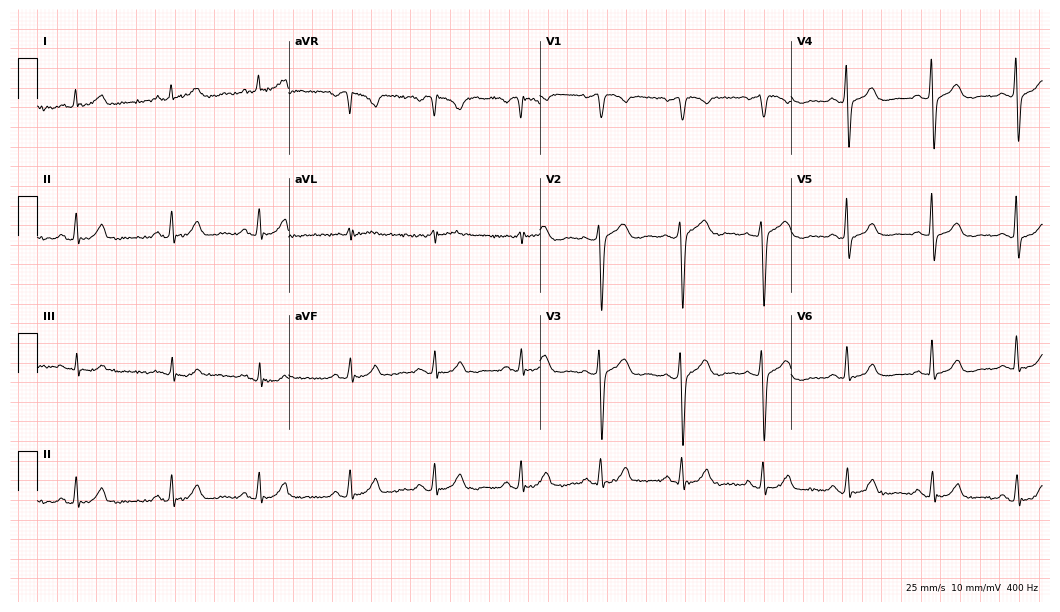
ECG (10.2-second recording at 400 Hz) — a 56-year-old male. Labelled as a normal ECG.